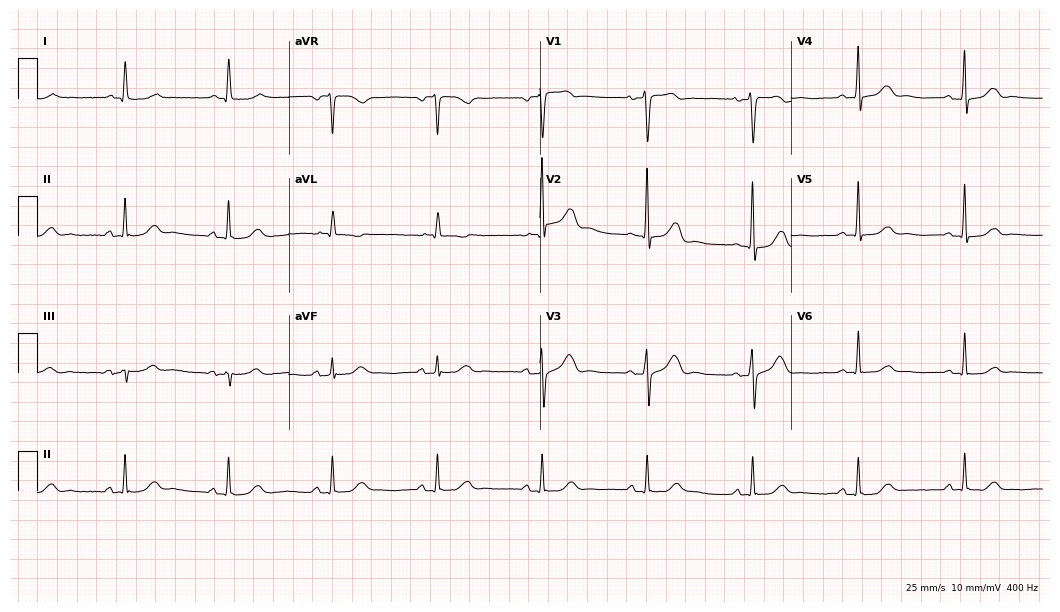
12-lead ECG from a 72-year-old female. No first-degree AV block, right bundle branch block (RBBB), left bundle branch block (LBBB), sinus bradycardia, atrial fibrillation (AF) or sinus tachycardia recorded for this tracing.